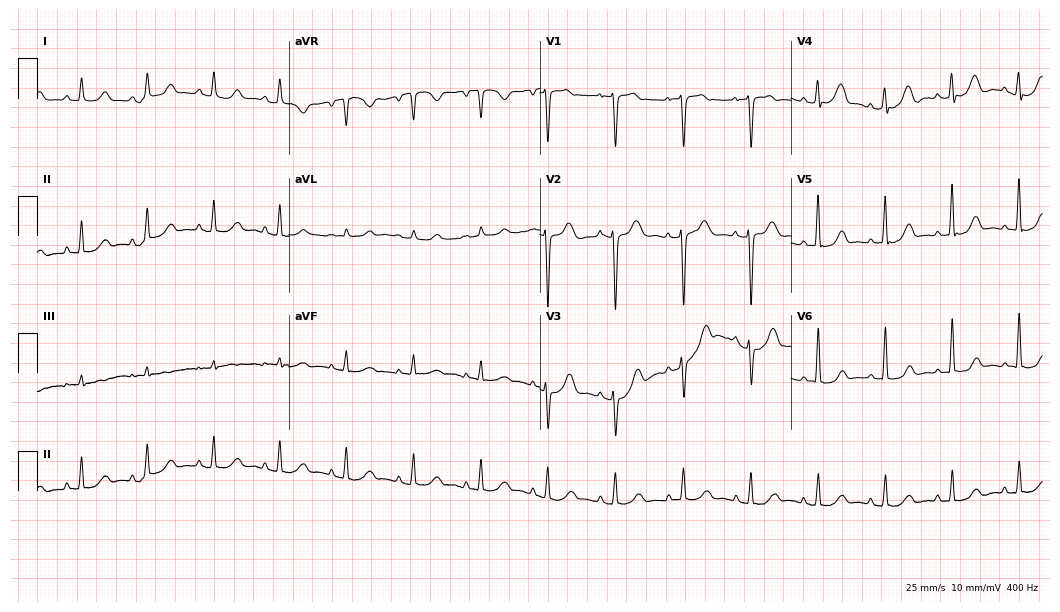
ECG (10.2-second recording at 400 Hz) — a female, 42 years old. Labelled as a normal ECG.